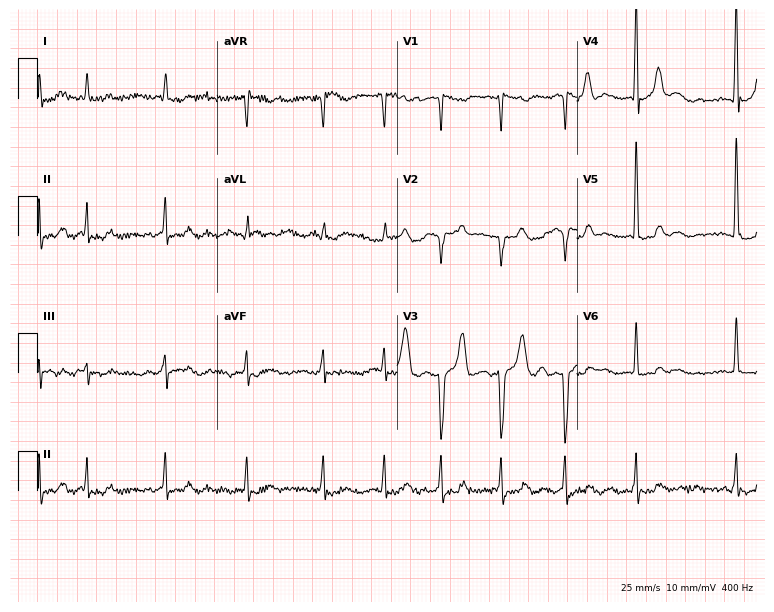
Electrocardiogram, a male, 69 years old. Interpretation includes atrial fibrillation.